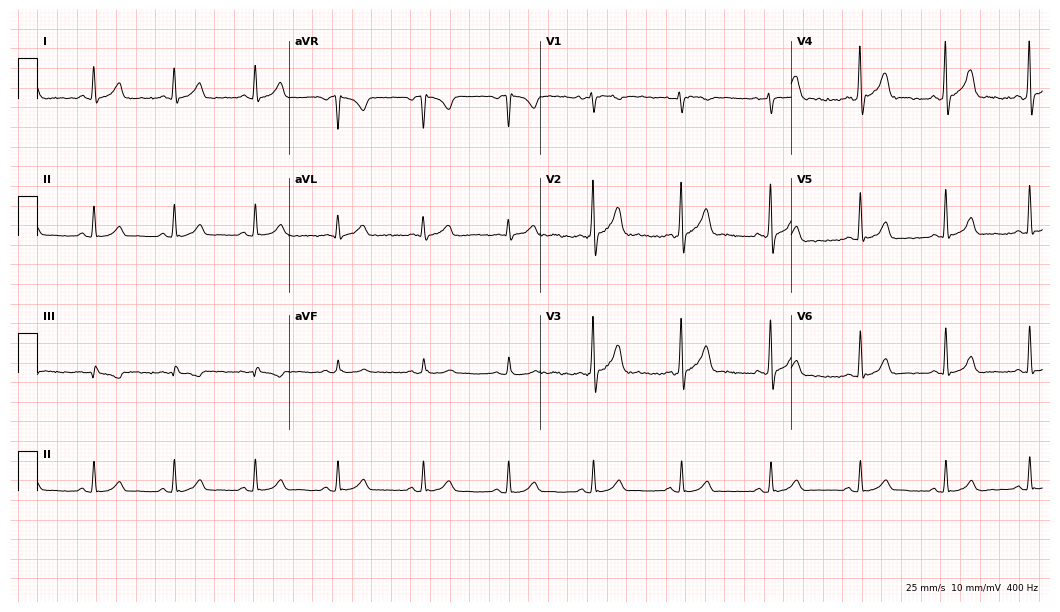
12-lead ECG from a male patient, 26 years old. Recorded interpretation: within normal limits.